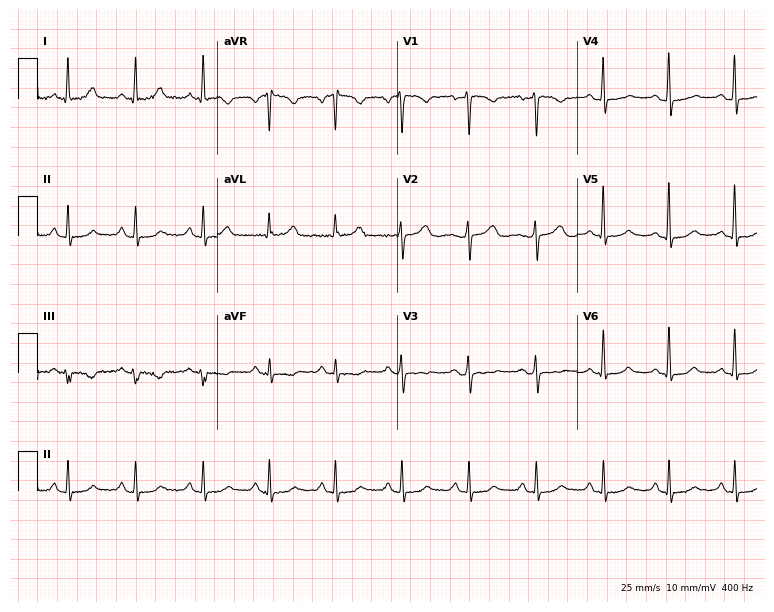
12-lead ECG from a 42-year-old female patient. No first-degree AV block, right bundle branch block (RBBB), left bundle branch block (LBBB), sinus bradycardia, atrial fibrillation (AF) or sinus tachycardia recorded for this tracing. Other findings, if any, are not listed.